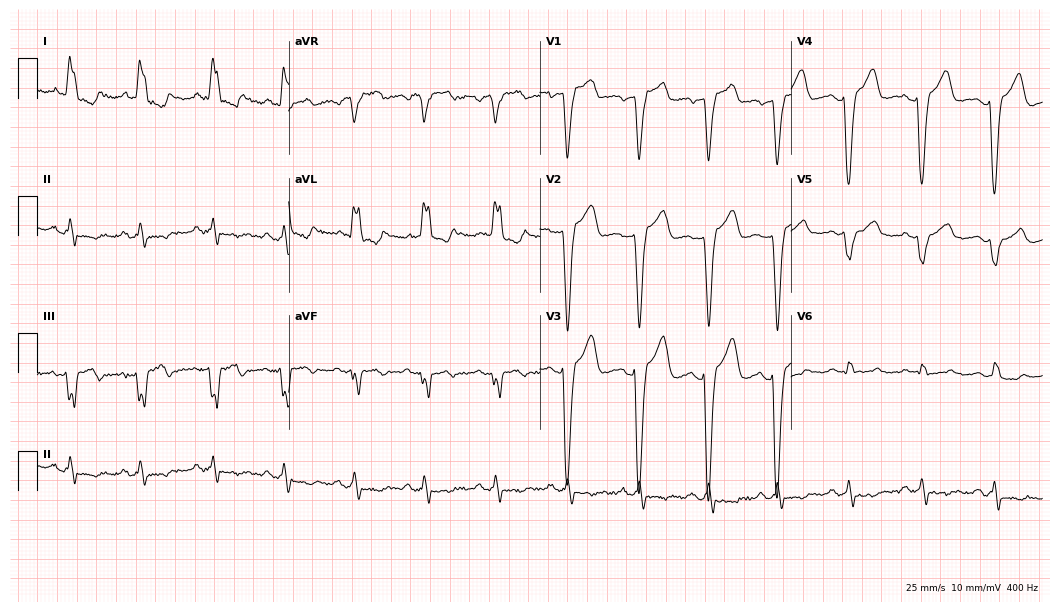
ECG (10.2-second recording at 400 Hz) — a 63-year-old female patient. Findings include left bundle branch block.